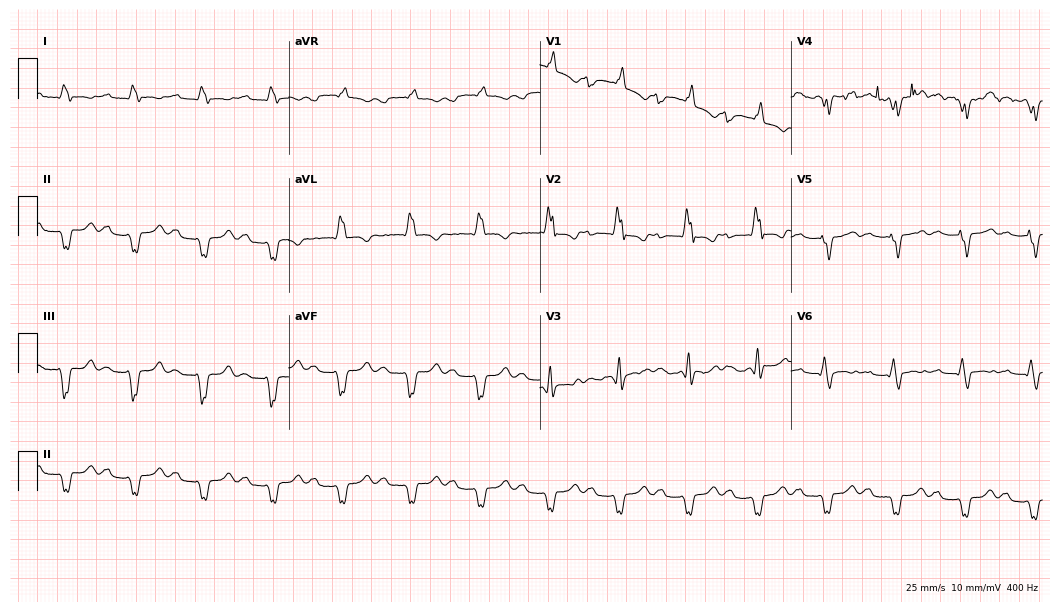
Resting 12-lead electrocardiogram. Patient: a 52-year-old female. The tracing shows first-degree AV block, right bundle branch block (RBBB).